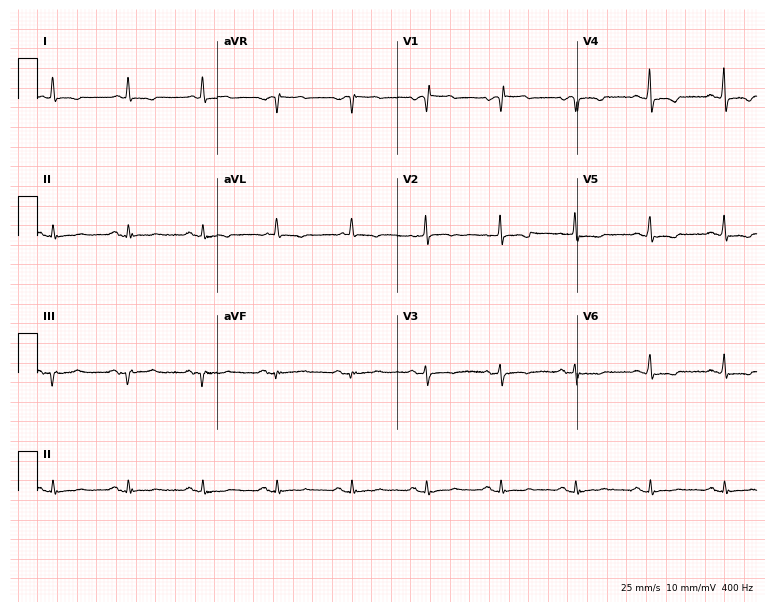
Electrocardiogram (7.3-second recording at 400 Hz), a female patient, 76 years old. Of the six screened findings (first-degree AV block, right bundle branch block (RBBB), left bundle branch block (LBBB), sinus bradycardia, atrial fibrillation (AF), sinus tachycardia), none is recorded. Only these six findings were labelled.